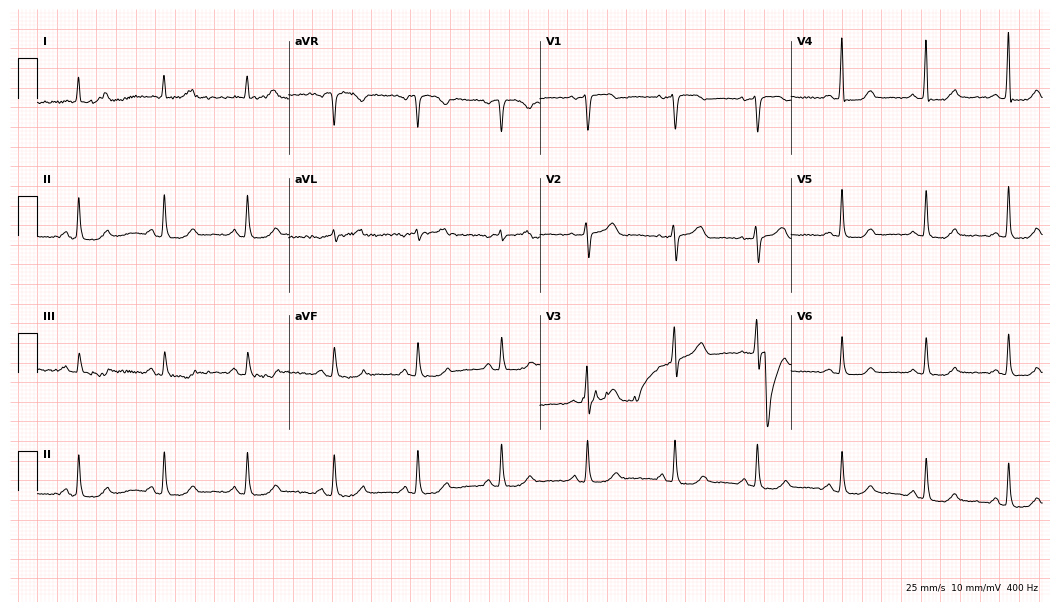
12-lead ECG from a 63-year-old female (10.2-second recording at 400 Hz). No first-degree AV block, right bundle branch block (RBBB), left bundle branch block (LBBB), sinus bradycardia, atrial fibrillation (AF) or sinus tachycardia recorded for this tracing.